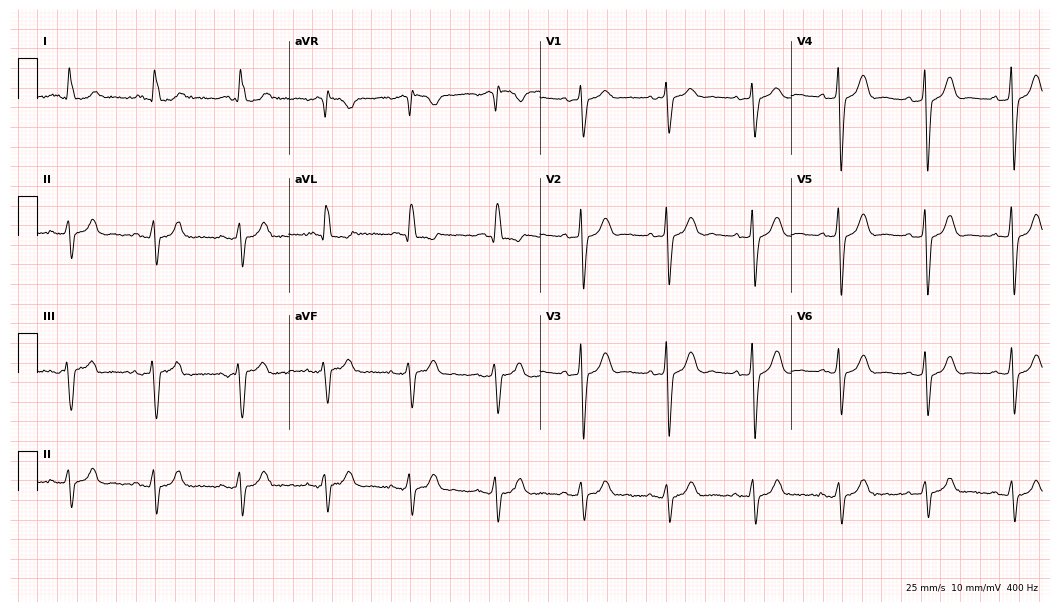
Resting 12-lead electrocardiogram. Patient: an 84-year-old female. None of these six findings is recorded: first-degree AV block, right bundle branch block, left bundle branch block, sinus bradycardia, atrial fibrillation, sinus tachycardia. Other findings, if any, are not listed.